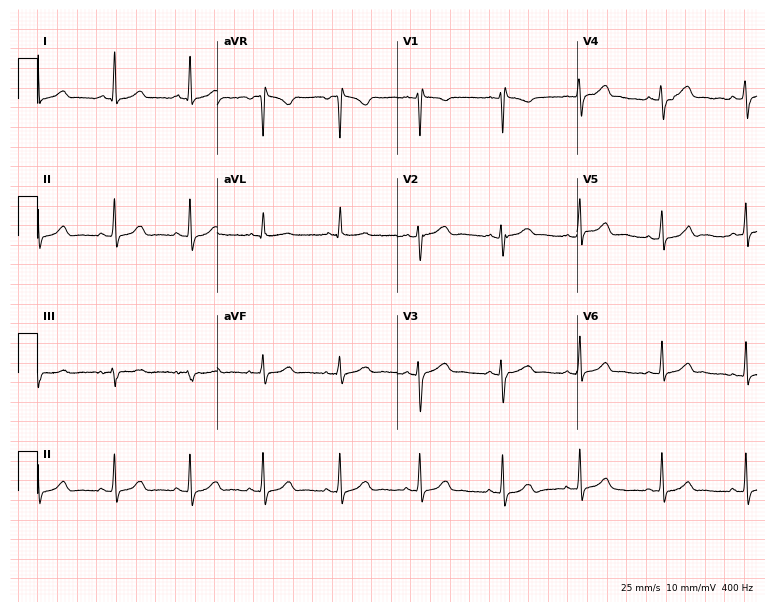
12-lead ECG from a female, 20 years old (7.3-second recording at 400 Hz). Recorded interpretation: within normal limits.